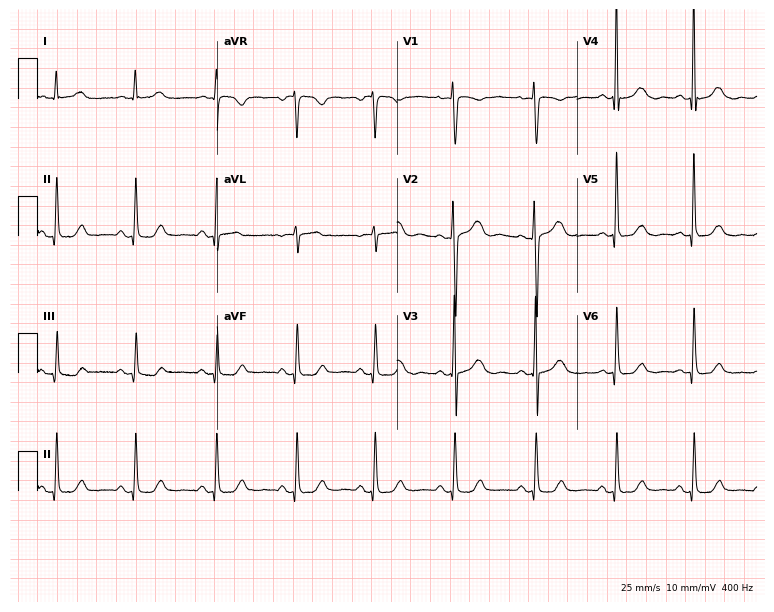
12-lead ECG from a woman, 57 years old (7.3-second recording at 400 Hz). No first-degree AV block, right bundle branch block, left bundle branch block, sinus bradycardia, atrial fibrillation or sinus tachycardia recorded for this tracing.